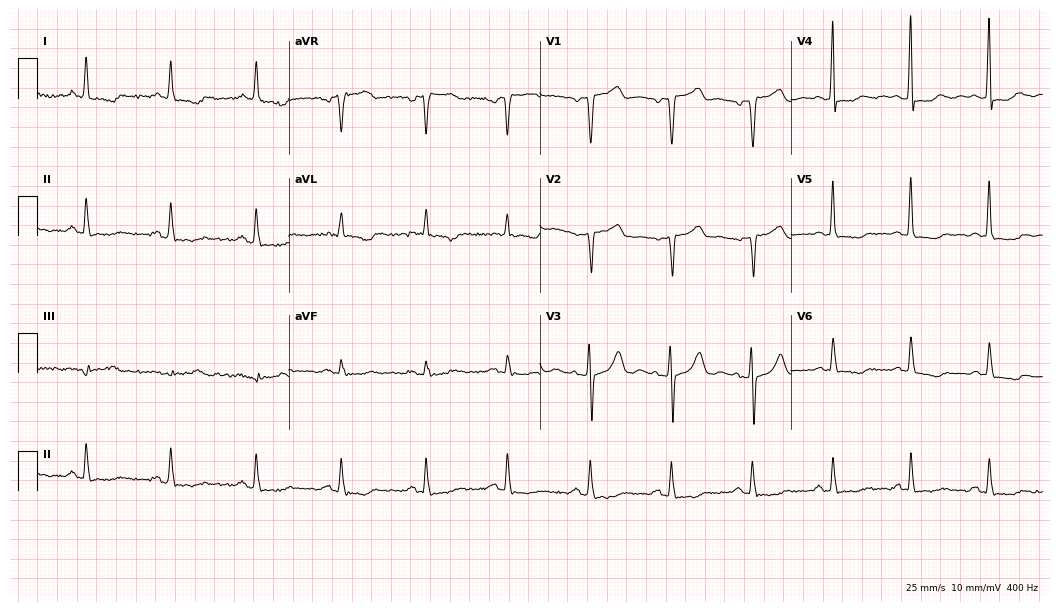
Electrocardiogram (10.2-second recording at 400 Hz), a female, 57 years old. Of the six screened findings (first-degree AV block, right bundle branch block, left bundle branch block, sinus bradycardia, atrial fibrillation, sinus tachycardia), none is recorded. Only these six findings were labelled.